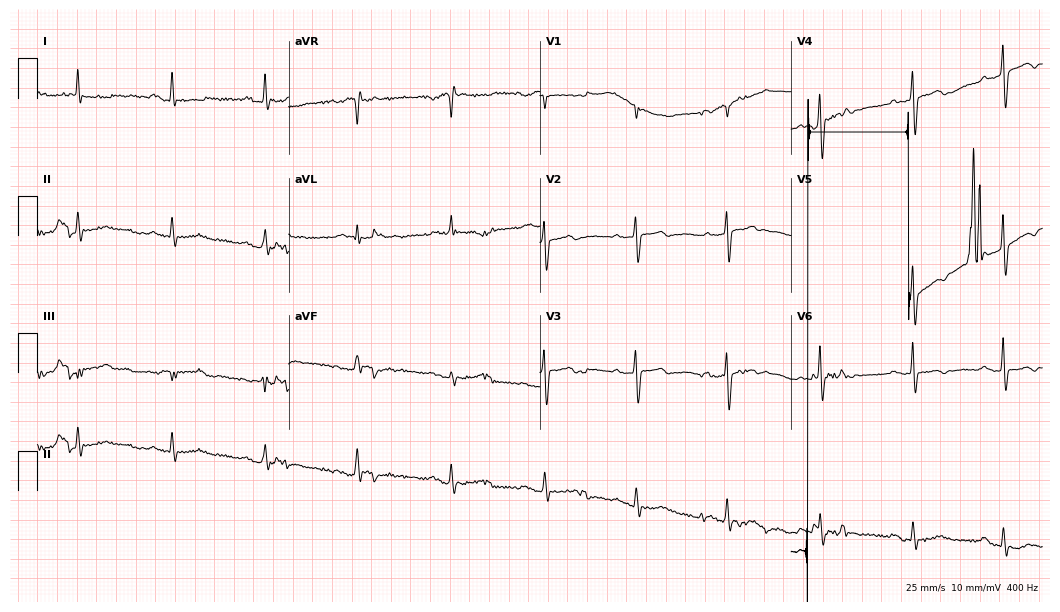
Resting 12-lead electrocardiogram (10.2-second recording at 400 Hz). Patient: a 65-year-old woman. None of these six findings is recorded: first-degree AV block, right bundle branch block, left bundle branch block, sinus bradycardia, atrial fibrillation, sinus tachycardia.